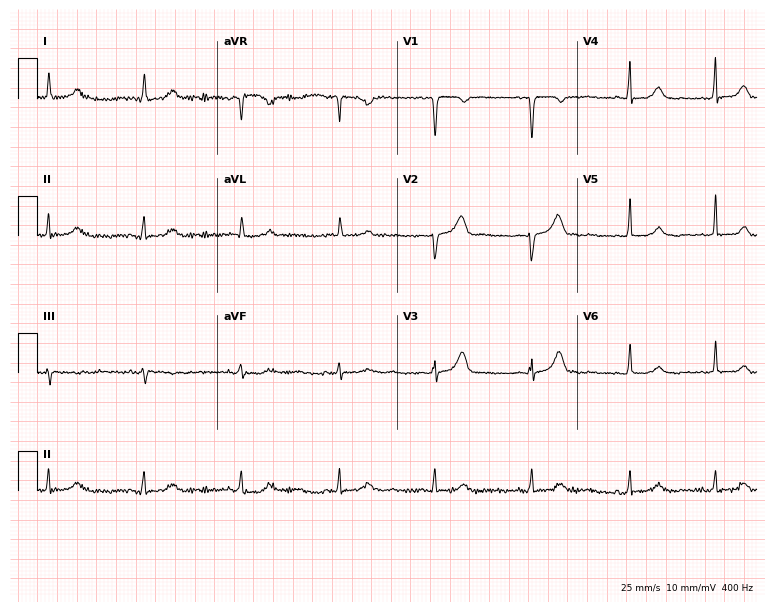
Electrocardiogram, a 68-year-old female patient. Of the six screened findings (first-degree AV block, right bundle branch block (RBBB), left bundle branch block (LBBB), sinus bradycardia, atrial fibrillation (AF), sinus tachycardia), none is recorded.